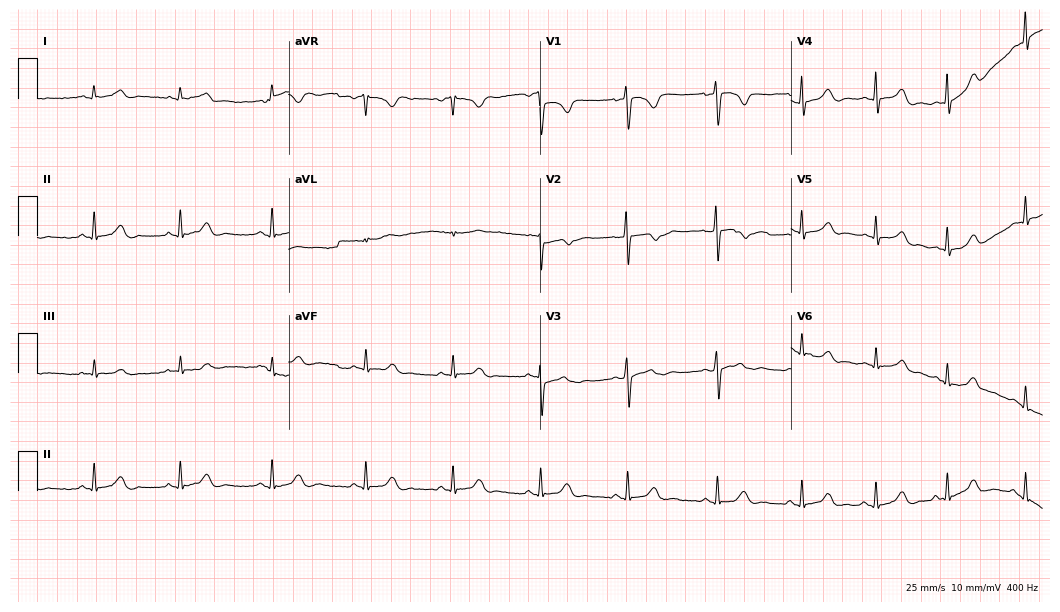
12-lead ECG from a 32-year-old woman (10.2-second recording at 400 Hz). No first-degree AV block, right bundle branch block (RBBB), left bundle branch block (LBBB), sinus bradycardia, atrial fibrillation (AF) or sinus tachycardia recorded for this tracing. Only these six findings were labelled.